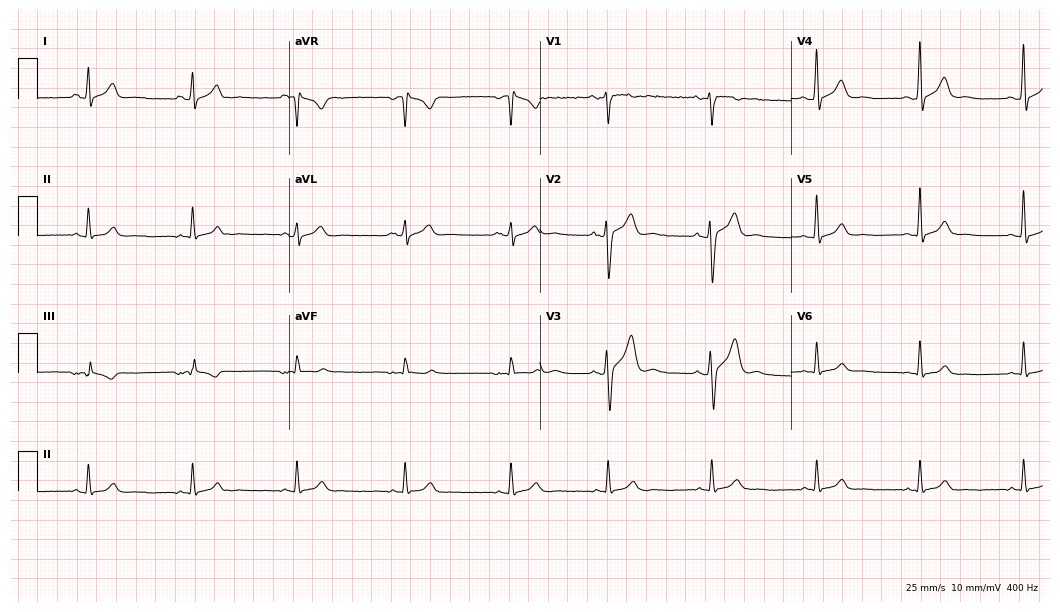
Electrocardiogram (10.2-second recording at 400 Hz), a 33-year-old male patient. Overall reading on record: normal ECG.